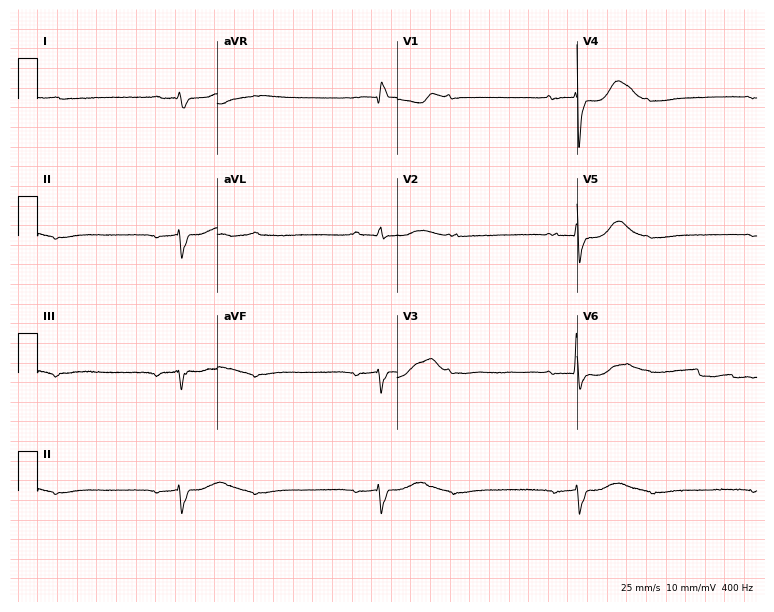
12-lead ECG from a female patient, 74 years old. No first-degree AV block, right bundle branch block (RBBB), left bundle branch block (LBBB), sinus bradycardia, atrial fibrillation (AF) or sinus tachycardia recorded for this tracing.